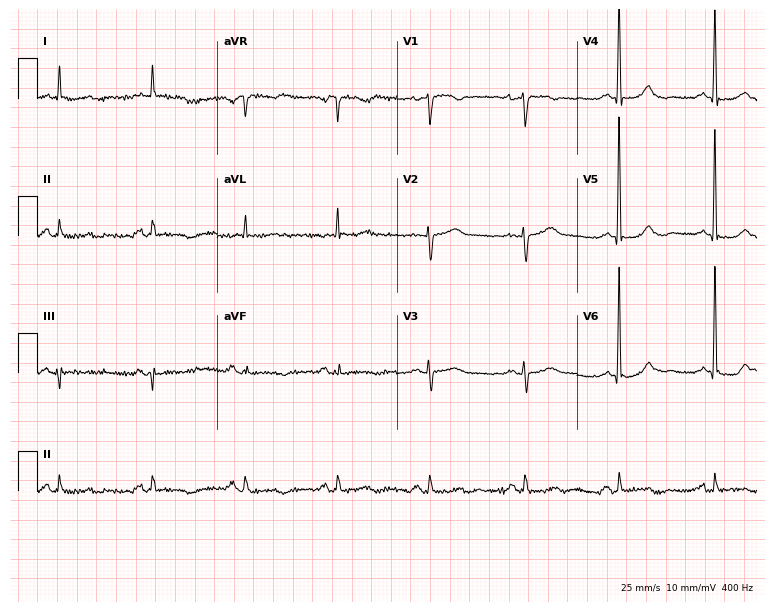
ECG — a woman, 70 years old. Screened for six findings — first-degree AV block, right bundle branch block (RBBB), left bundle branch block (LBBB), sinus bradycardia, atrial fibrillation (AF), sinus tachycardia — none is recorded. Only these six findings were labelled.